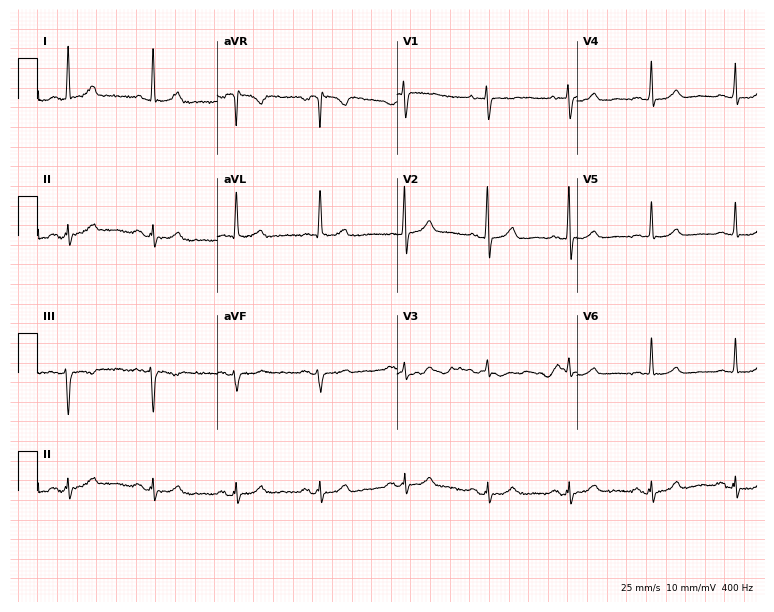
Standard 12-lead ECG recorded from a 71-year-old female patient. Read as a normal ECG.